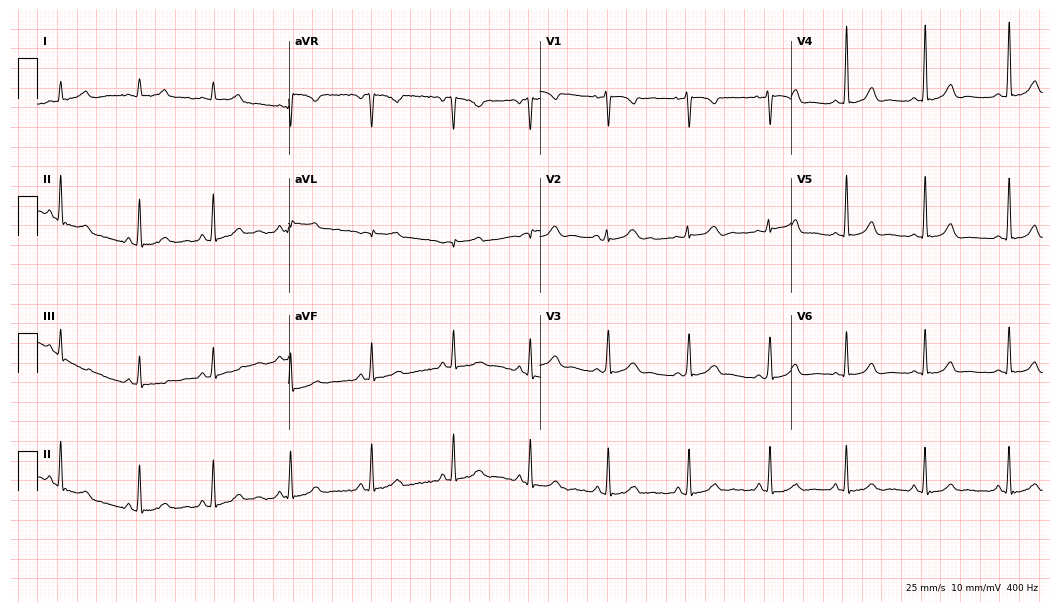
12-lead ECG from a 23-year-old woman (10.2-second recording at 400 Hz). Recorded interpretation: within normal limits.